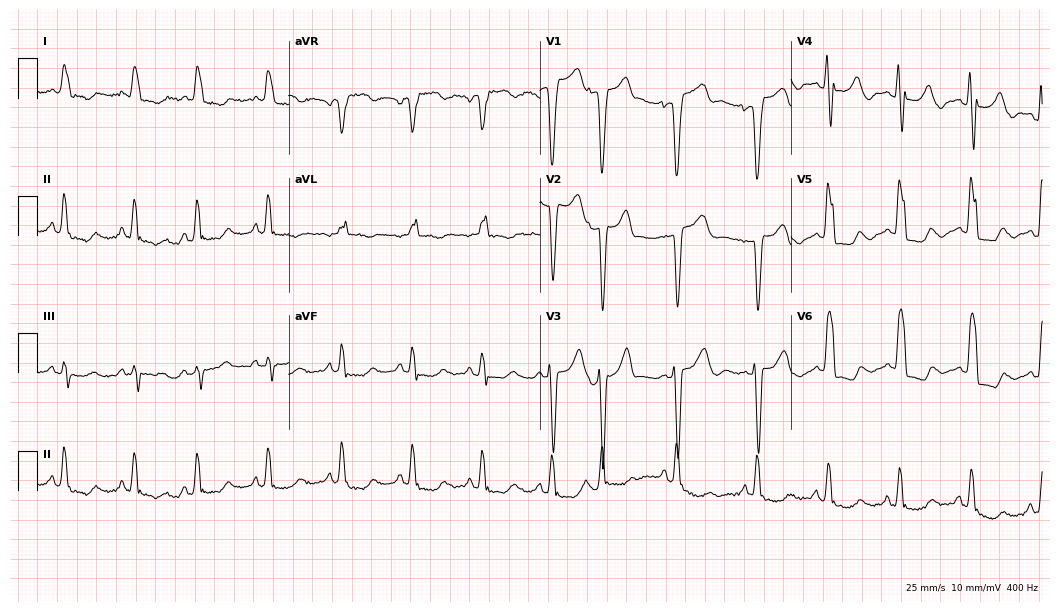
12-lead ECG from a 77-year-old female patient. No first-degree AV block, right bundle branch block, left bundle branch block, sinus bradycardia, atrial fibrillation or sinus tachycardia recorded for this tracing. Findings outside these six are not listed.